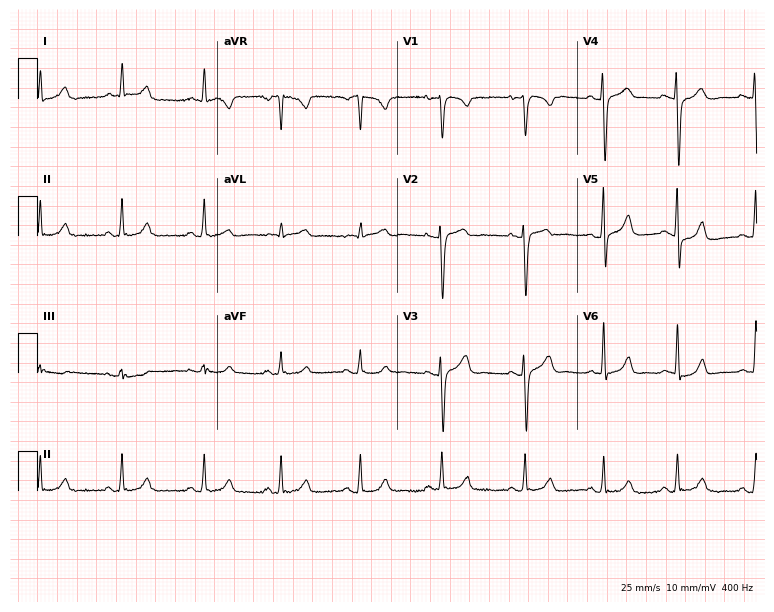
12-lead ECG from a female, 25 years old. Recorded interpretation: within normal limits.